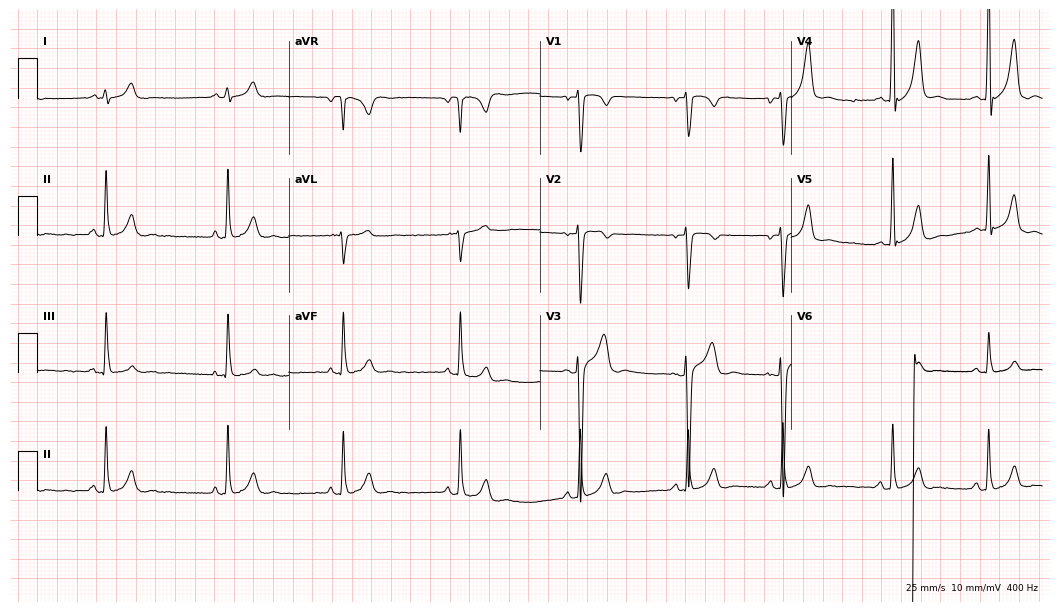
Standard 12-lead ECG recorded from a 17-year-old male patient. Read as a normal ECG.